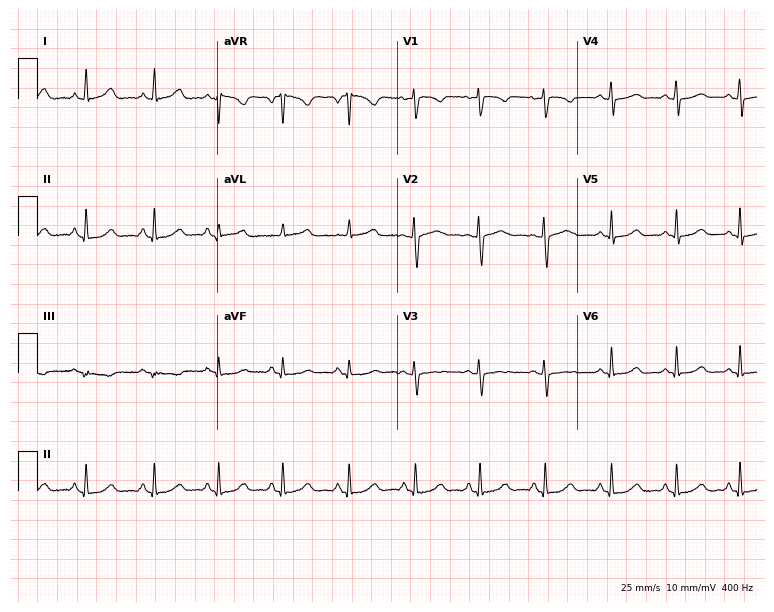
Resting 12-lead electrocardiogram. Patient: a woman, 38 years old. Read as a normal ECG.